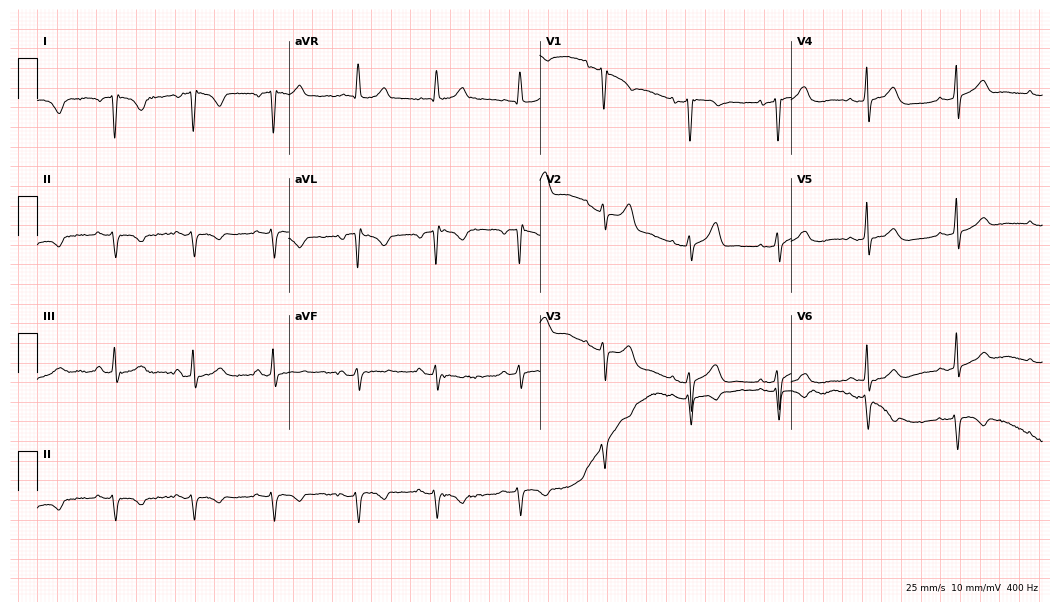
ECG — a 52-year-old female. Screened for six findings — first-degree AV block, right bundle branch block (RBBB), left bundle branch block (LBBB), sinus bradycardia, atrial fibrillation (AF), sinus tachycardia — none is recorded.